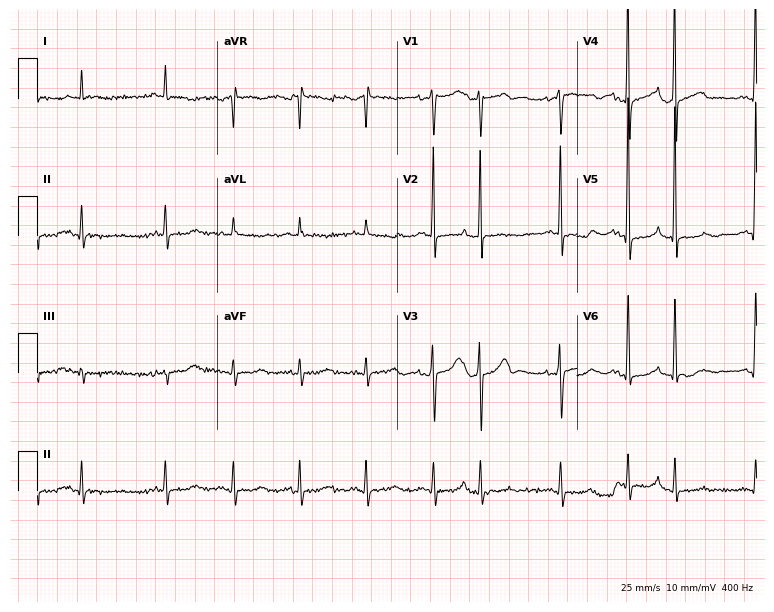
Resting 12-lead electrocardiogram. Patient: a female, 79 years old. None of these six findings is recorded: first-degree AV block, right bundle branch block, left bundle branch block, sinus bradycardia, atrial fibrillation, sinus tachycardia.